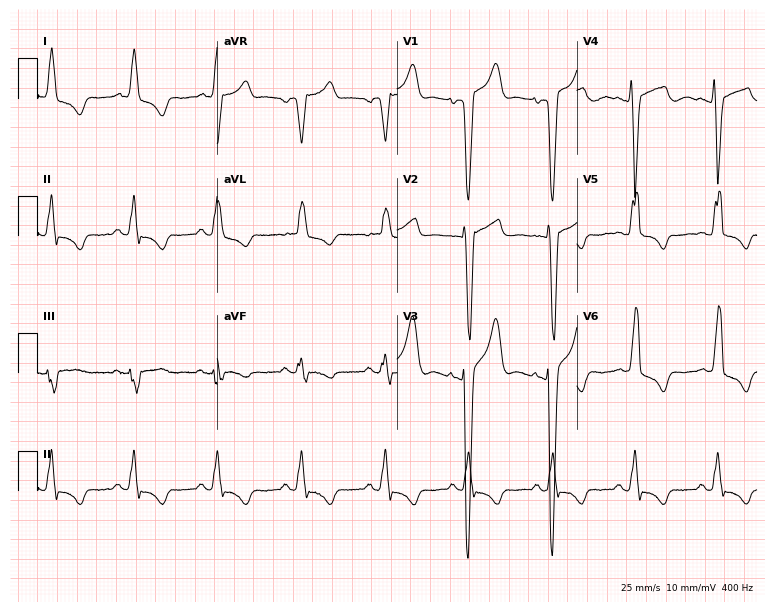
12-lead ECG from a male, 85 years old. Findings include left bundle branch block.